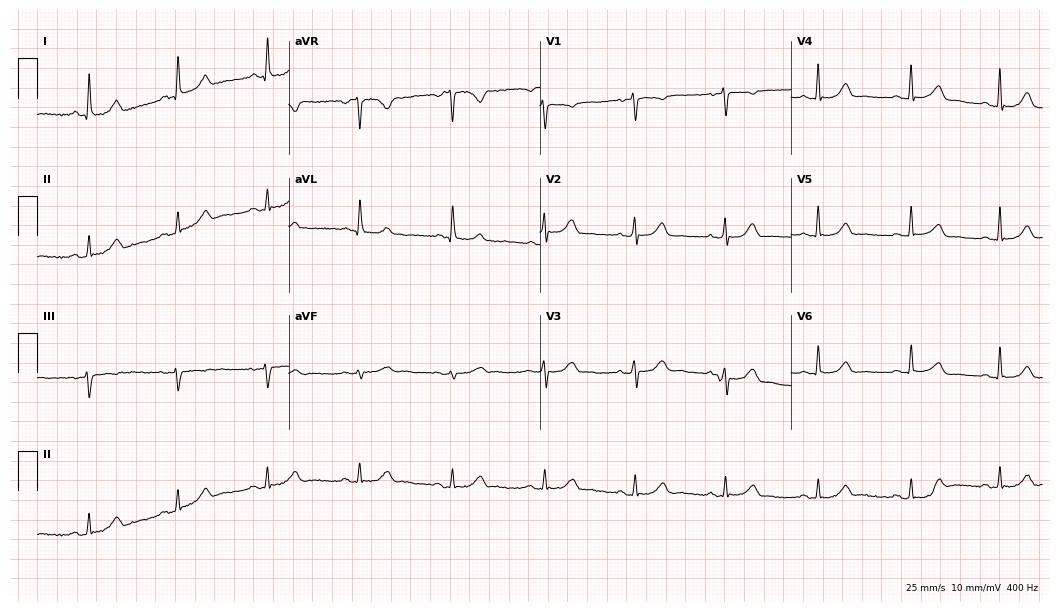
Standard 12-lead ECG recorded from a 56-year-old female patient. Read as a normal ECG.